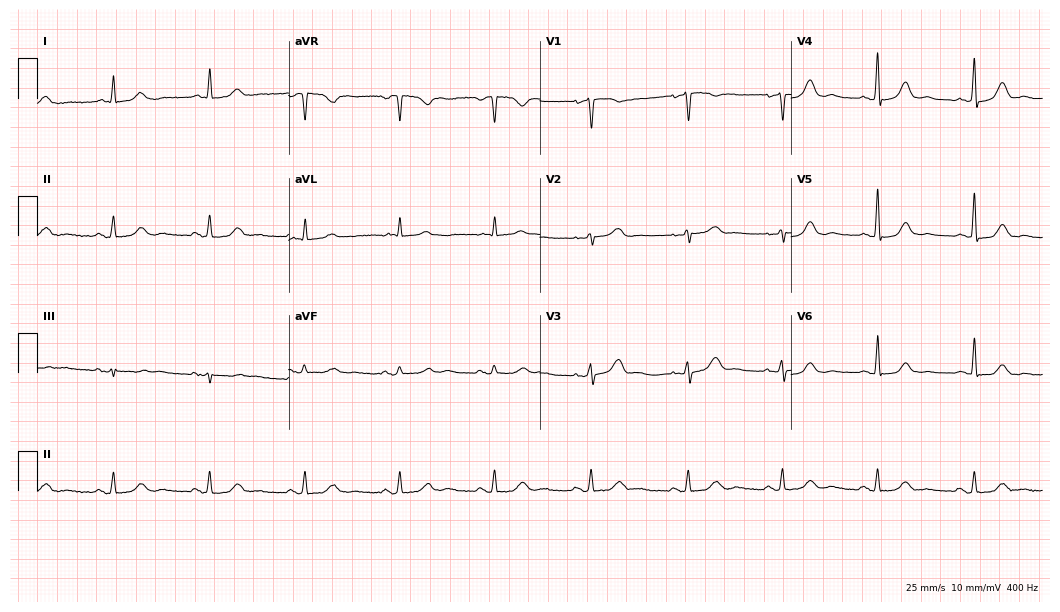
Electrocardiogram (10.2-second recording at 400 Hz), a 60-year-old female patient. Overall reading on record: normal ECG.